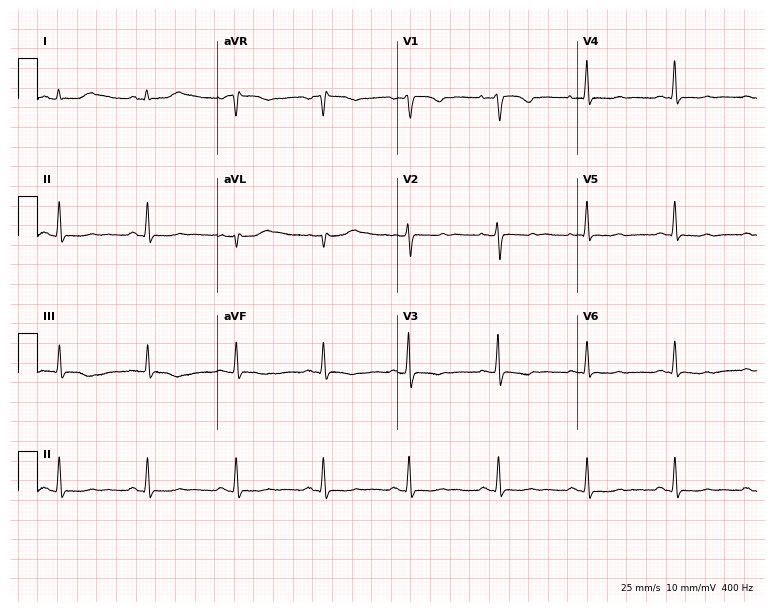
ECG — a woman, 42 years old. Screened for six findings — first-degree AV block, right bundle branch block, left bundle branch block, sinus bradycardia, atrial fibrillation, sinus tachycardia — none is recorded.